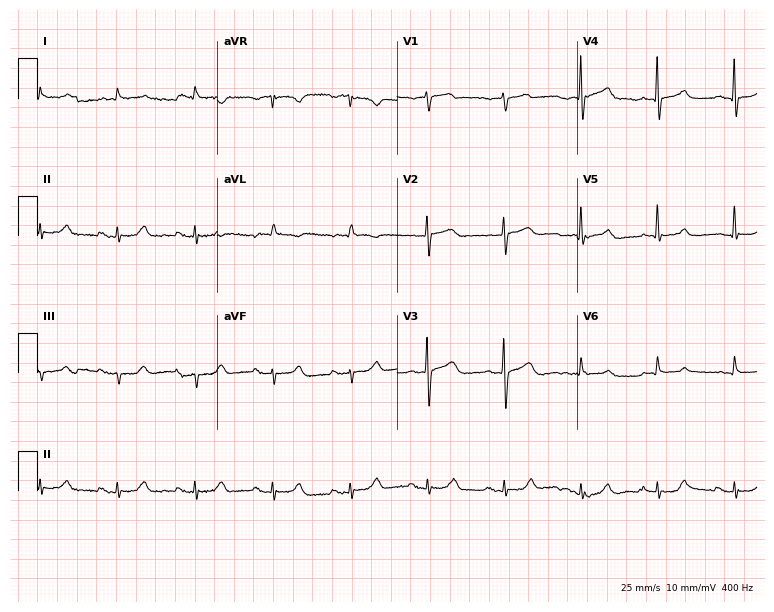
Electrocardiogram, an 83-year-old male patient. Of the six screened findings (first-degree AV block, right bundle branch block (RBBB), left bundle branch block (LBBB), sinus bradycardia, atrial fibrillation (AF), sinus tachycardia), none is recorded. Other findings, if any, are not listed.